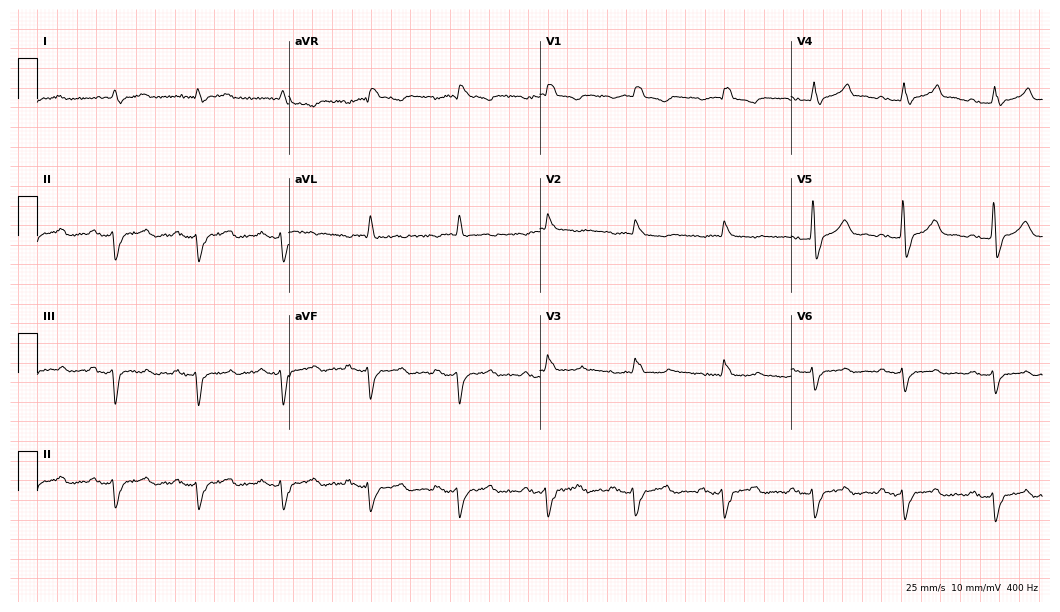
Resting 12-lead electrocardiogram (10.2-second recording at 400 Hz). Patient: a male, 73 years old. None of these six findings is recorded: first-degree AV block, right bundle branch block, left bundle branch block, sinus bradycardia, atrial fibrillation, sinus tachycardia. Only these six findings were labelled.